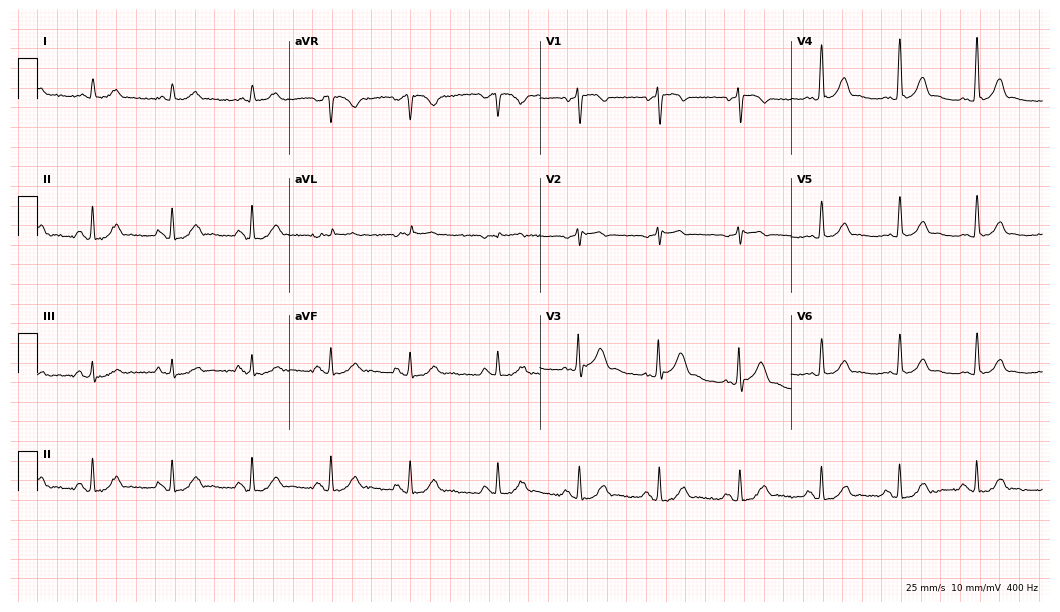
ECG (10.2-second recording at 400 Hz) — a male patient, 77 years old. Labelled as a normal ECG.